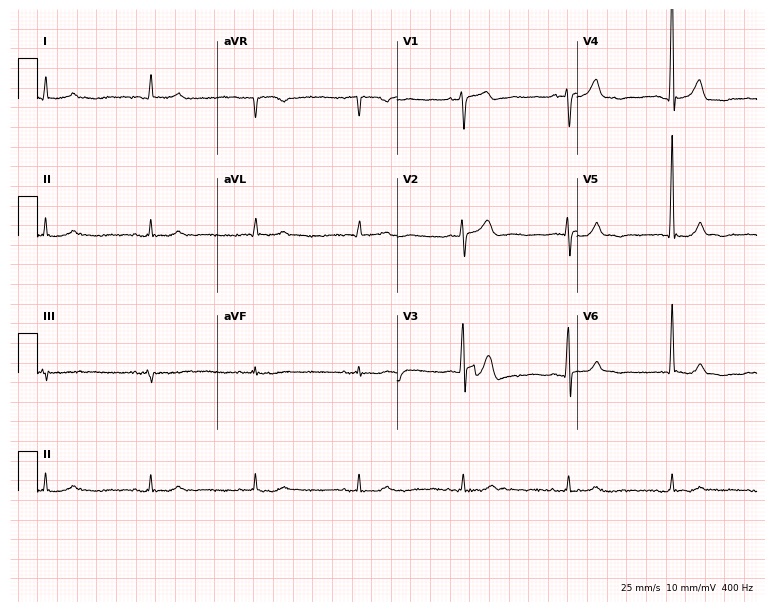
Resting 12-lead electrocardiogram. Patient: a male, 77 years old. None of these six findings is recorded: first-degree AV block, right bundle branch block, left bundle branch block, sinus bradycardia, atrial fibrillation, sinus tachycardia.